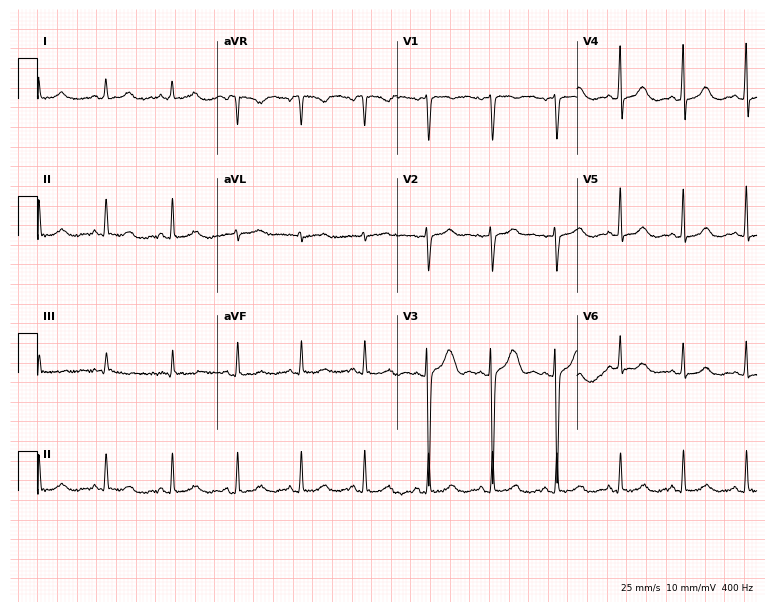
12-lead ECG from a 38-year-old female patient (7.3-second recording at 400 Hz). No first-degree AV block, right bundle branch block (RBBB), left bundle branch block (LBBB), sinus bradycardia, atrial fibrillation (AF) or sinus tachycardia recorded for this tracing. Findings outside these six are not listed.